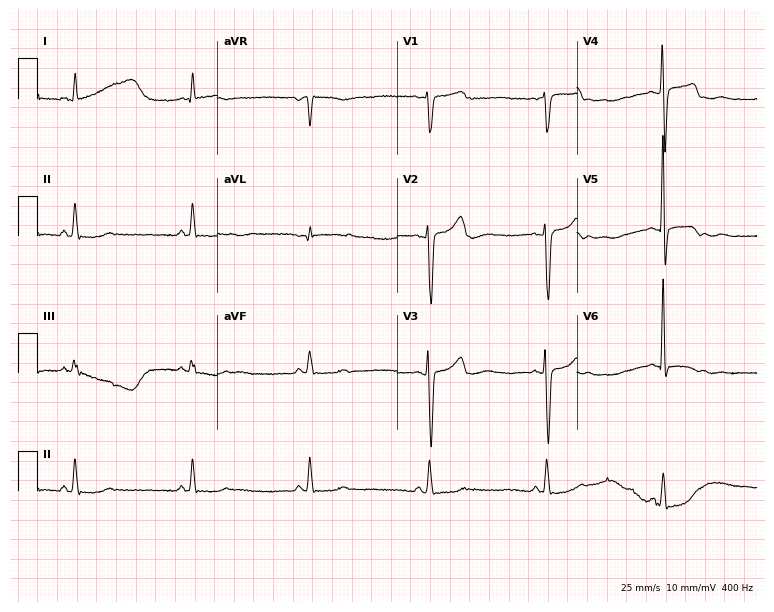
ECG — a man, 82 years old. Screened for six findings — first-degree AV block, right bundle branch block (RBBB), left bundle branch block (LBBB), sinus bradycardia, atrial fibrillation (AF), sinus tachycardia — none is recorded.